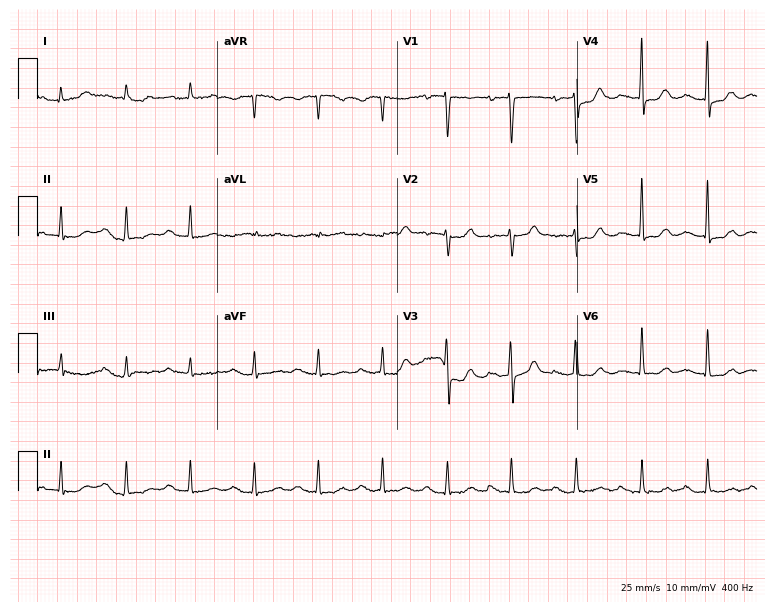
ECG — a 76-year-old female patient. Screened for six findings — first-degree AV block, right bundle branch block, left bundle branch block, sinus bradycardia, atrial fibrillation, sinus tachycardia — none is recorded. Only these six findings were labelled.